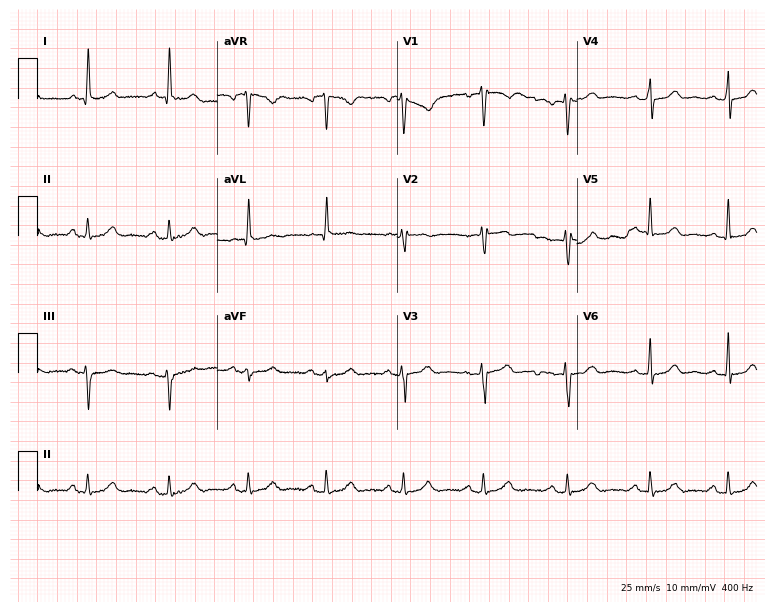
12-lead ECG from a 48-year-old female. Recorded interpretation: within normal limits.